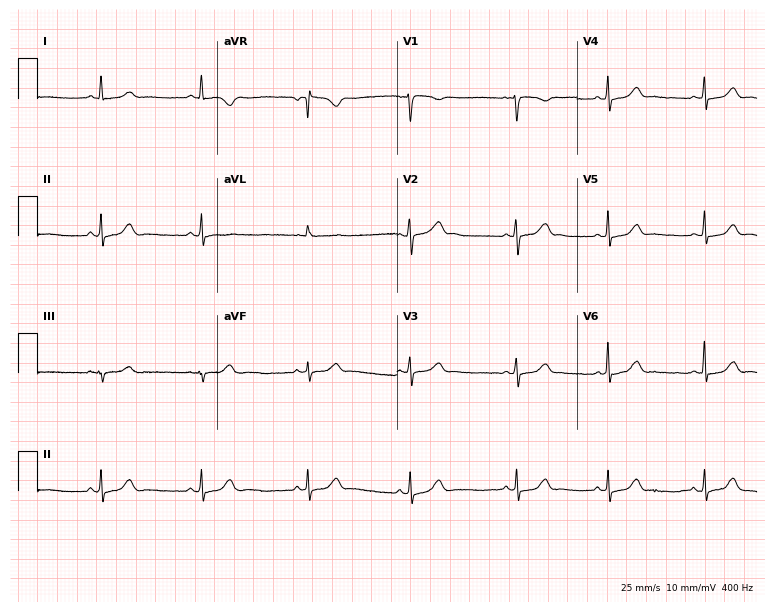
12-lead ECG from a 28-year-old woman. Recorded interpretation: within normal limits.